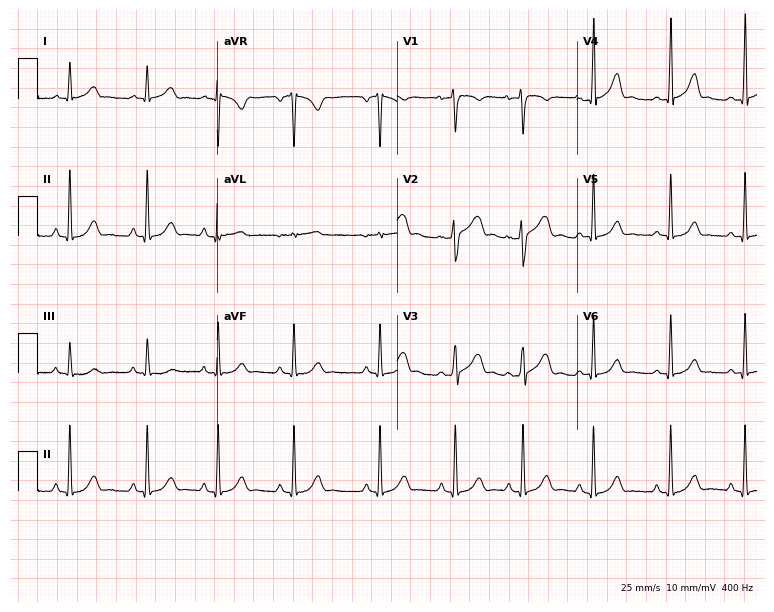
Electrocardiogram (7.3-second recording at 400 Hz), a woman, 29 years old. Overall reading on record: normal ECG.